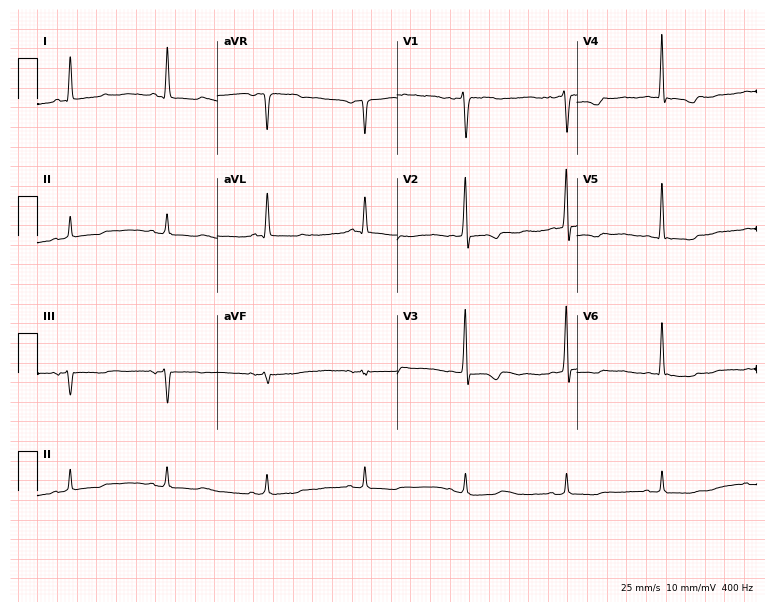
12-lead ECG from a 65-year-old female patient. No first-degree AV block, right bundle branch block (RBBB), left bundle branch block (LBBB), sinus bradycardia, atrial fibrillation (AF) or sinus tachycardia recorded for this tracing.